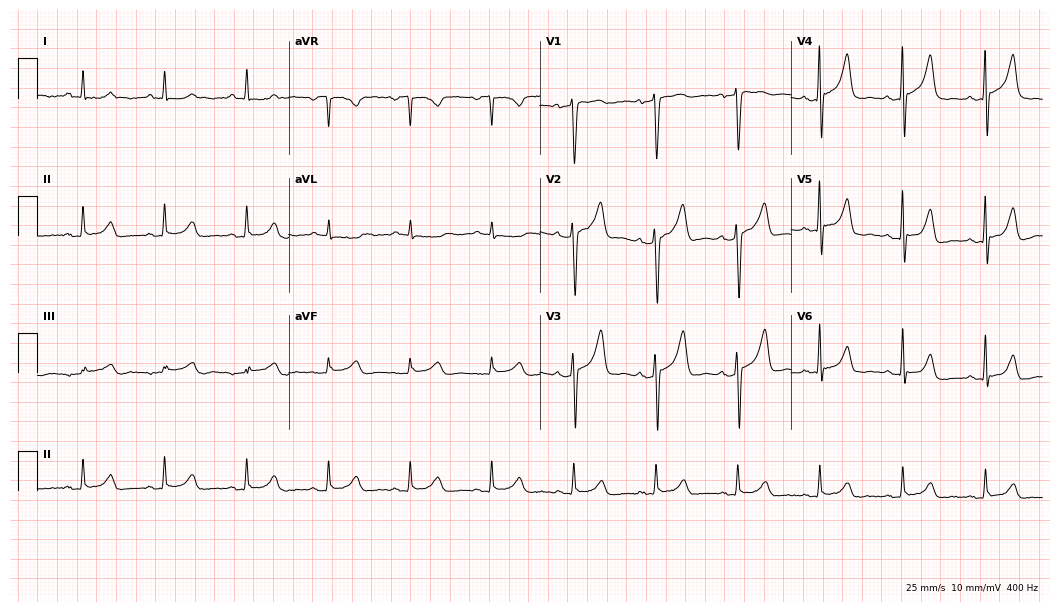
12-lead ECG (10.2-second recording at 400 Hz) from a 60-year-old man. Labelled as a normal ECG.